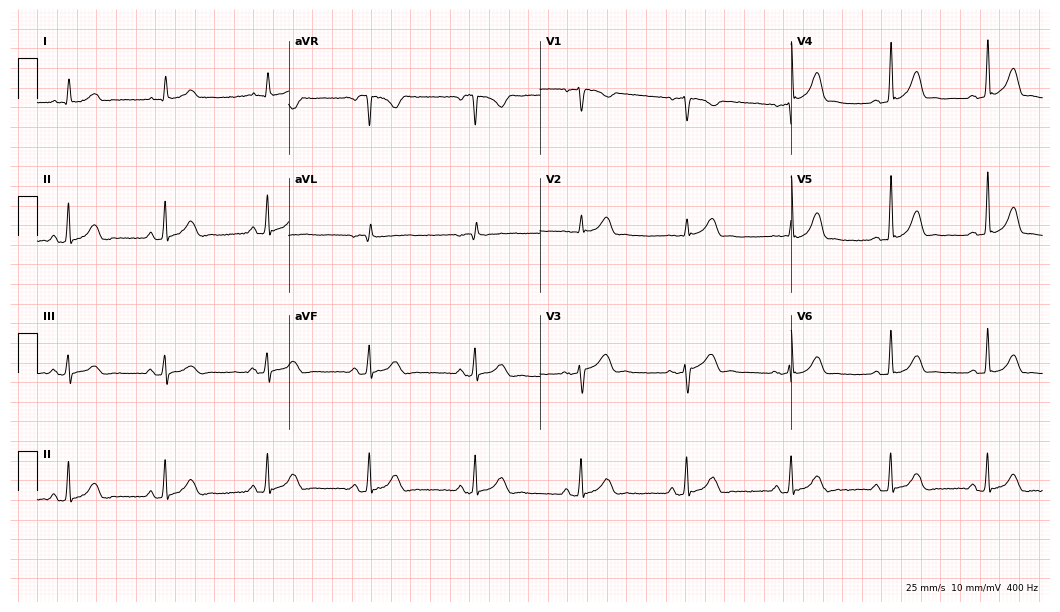
ECG (10.2-second recording at 400 Hz) — a female, 59 years old. Labelled as a normal ECG.